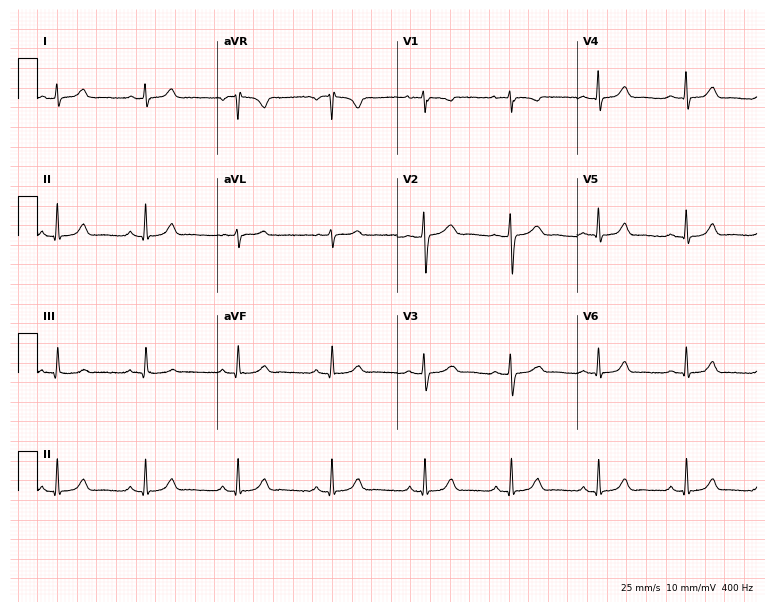
12-lead ECG from a woman, 24 years old. Labelled as a normal ECG.